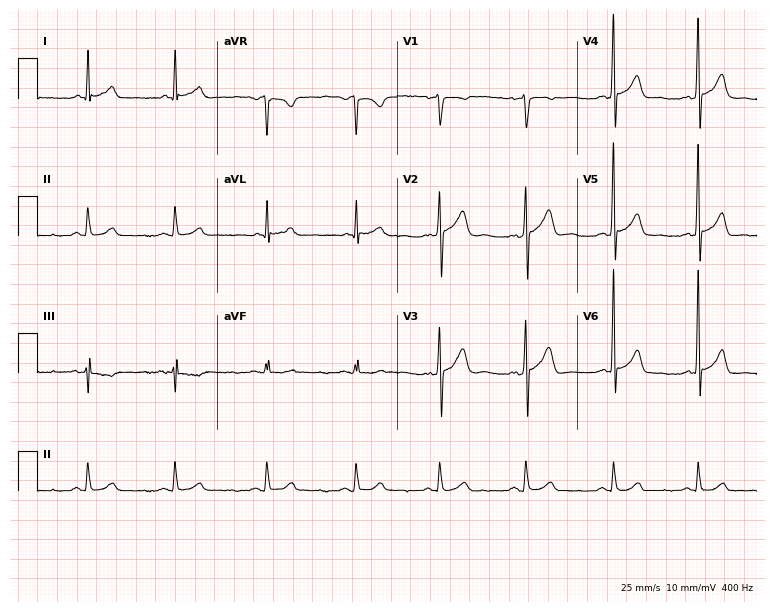
Resting 12-lead electrocardiogram (7.3-second recording at 400 Hz). Patient: a male, 45 years old. None of these six findings is recorded: first-degree AV block, right bundle branch block (RBBB), left bundle branch block (LBBB), sinus bradycardia, atrial fibrillation (AF), sinus tachycardia.